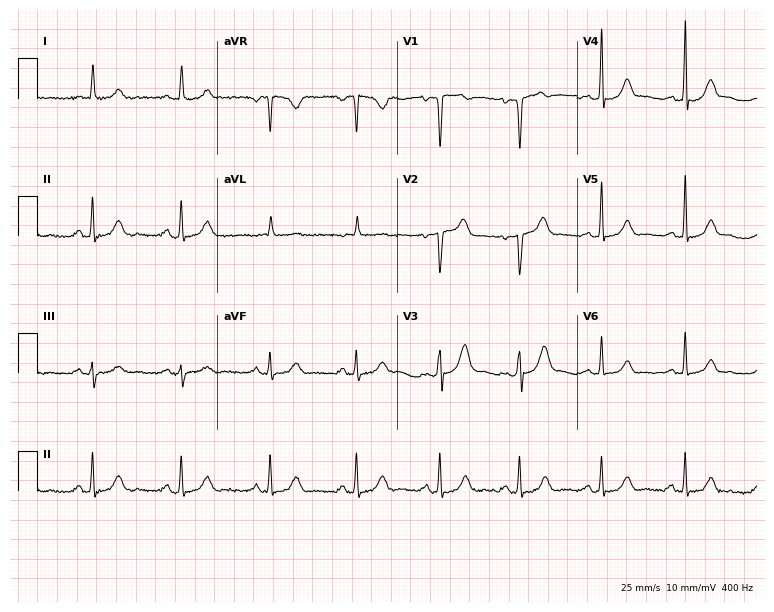
ECG (7.3-second recording at 400 Hz) — a 71-year-old male patient. Labelled as a normal ECG.